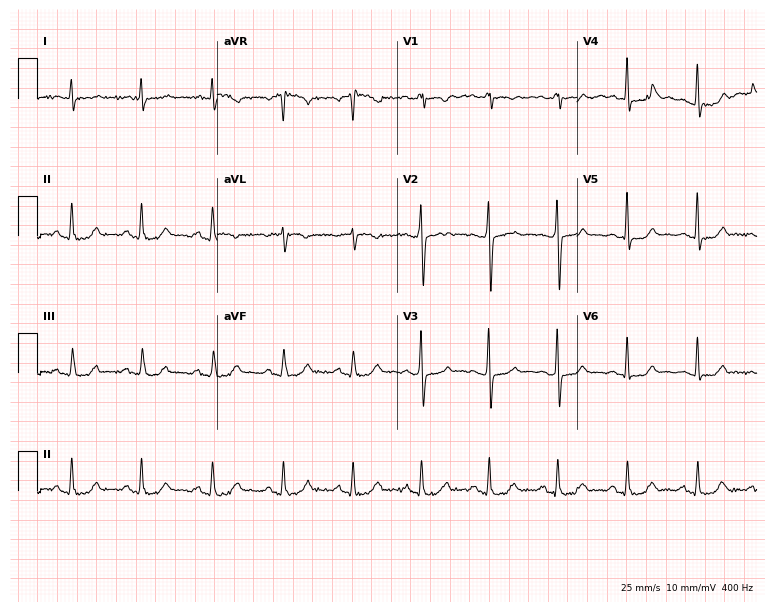
12-lead ECG from a man, 73 years old (7.3-second recording at 400 Hz). No first-degree AV block, right bundle branch block (RBBB), left bundle branch block (LBBB), sinus bradycardia, atrial fibrillation (AF) or sinus tachycardia recorded for this tracing.